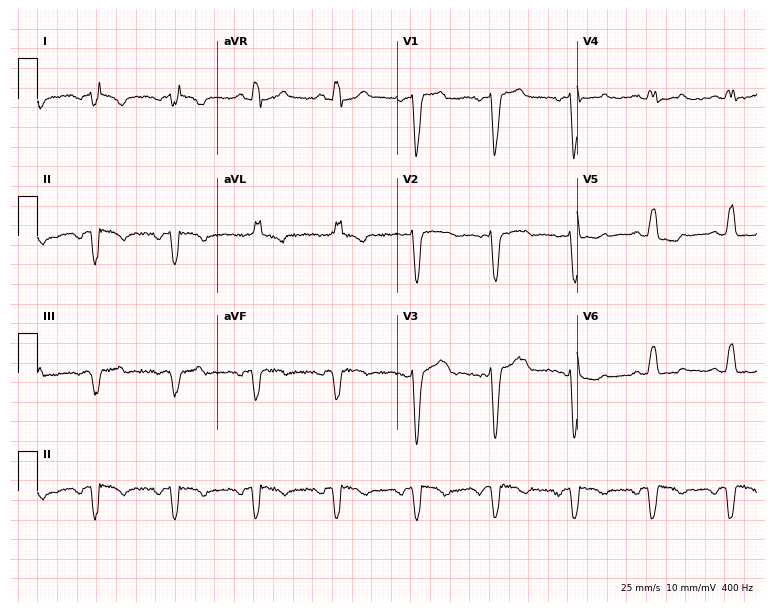
Resting 12-lead electrocardiogram. Patient: a 60-year-old woman. None of these six findings is recorded: first-degree AV block, right bundle branch block, left bundle branch block, sinus bradycardia, atrial fibrillation, sinus tachycardia. Other findings, if any, are not listed.